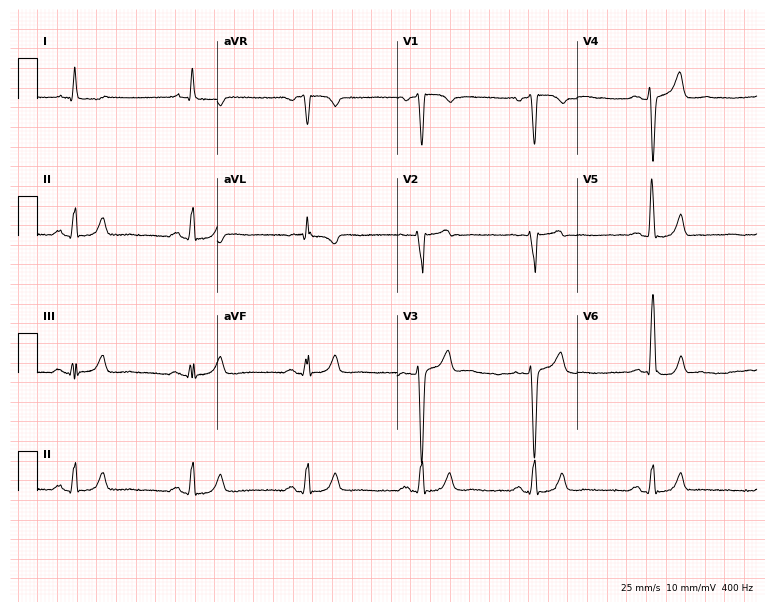
Resting 12-lead electrocardiogram. Patient: a male, 66 years old. The tracing shows sinus bradycardia (a sinus rate of 50 beats per minute or less).